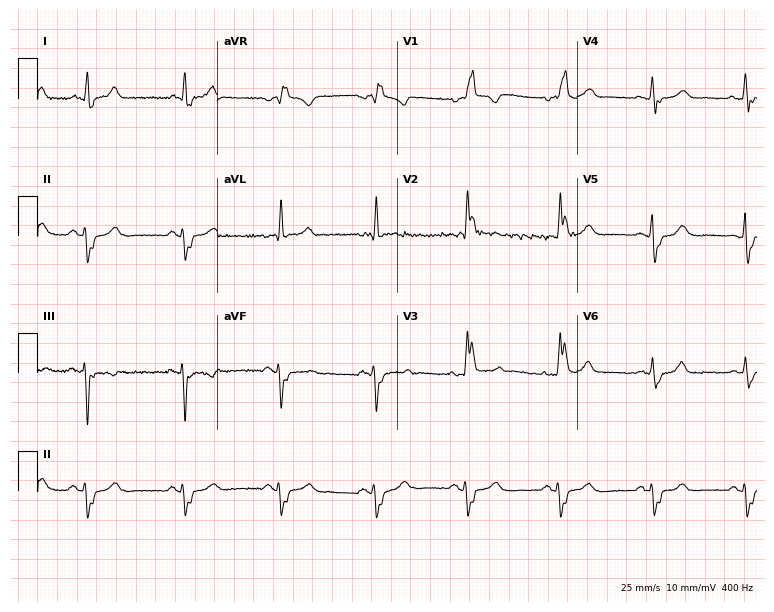
Electrocardiogram, an 81-year-old male patient. Interpretation includes right bundle branch block.